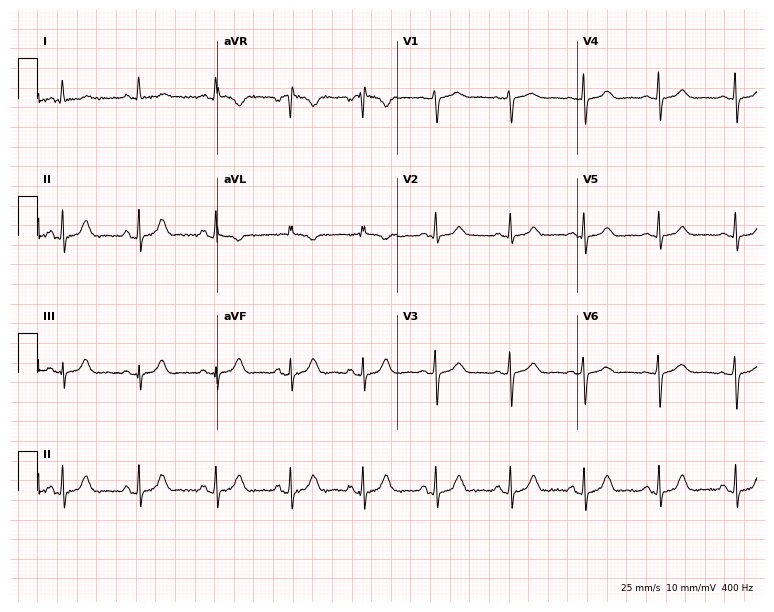
ECG (7.3-second recording at 400 Hz) — a female, 52 years old. Screened for six findings — first-degree AV block, right bundle branch block, left bundle branch block, sinus bradycardia, atrial fibrillation, sinus tachycardia — none is recorded.